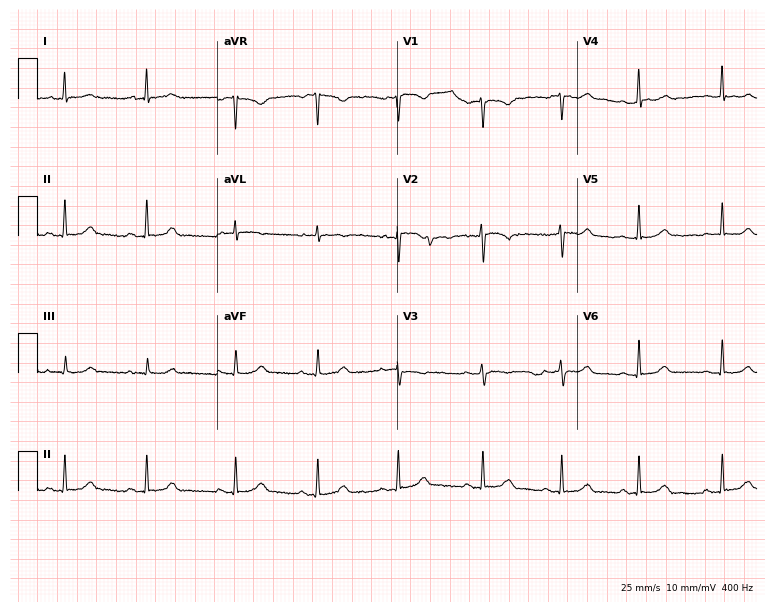
Resting 12-lead electrocardiogram (7.3-second recording at 400 Hz). Patient: a female, 33 years old. None of these six findings is recorded: first-degree AV block, right bundle branch block (RBBB), left bundle branch block (LBBB), sinus bradycardia, atrial fibrillation (AF), sinus tachycardia.